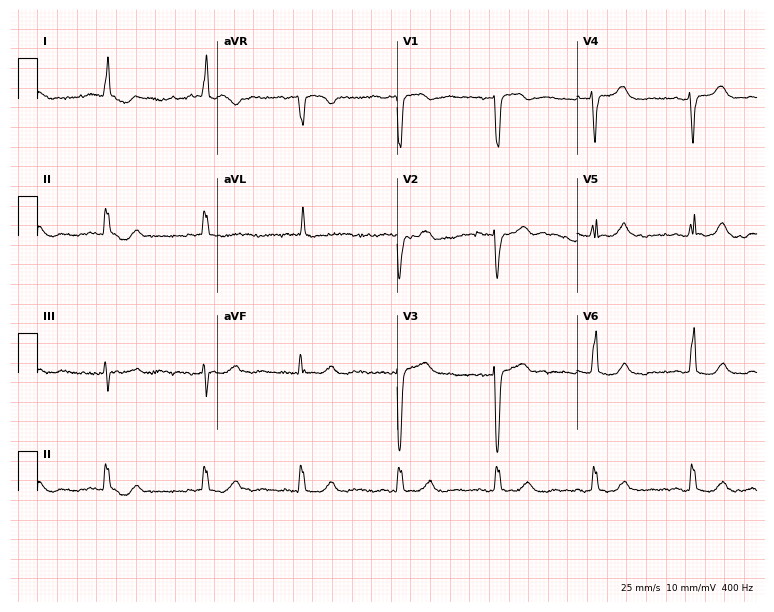
12-lead ECG from an 82-year-old woman. No first-degree AV block, right bundle branch block (RBBB), left bundle branch block (LBBB), sinus bradycardia, atrial fibrillation (AF) or sinus tachycardia recorded for this tracing. Findings outside these six are not listed.